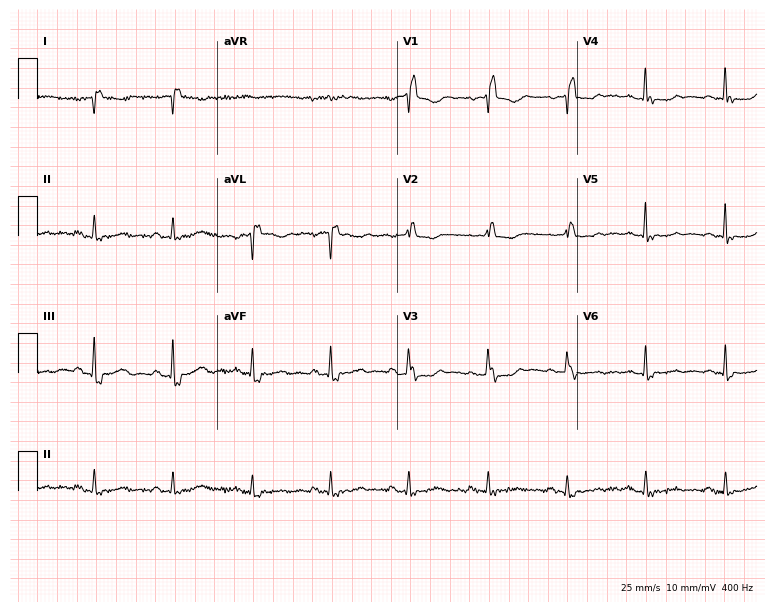
Standard 12-lead ECG recorded from a female, 81 years old (7.3-second recording at 400 Hz). None of these six findings is recorded: first-degree AV block, right bundle branch block, left bundle branch block, sinus bradycardia, atrial fibrillation, sinus tachycardia. Only these six findings were labelled.